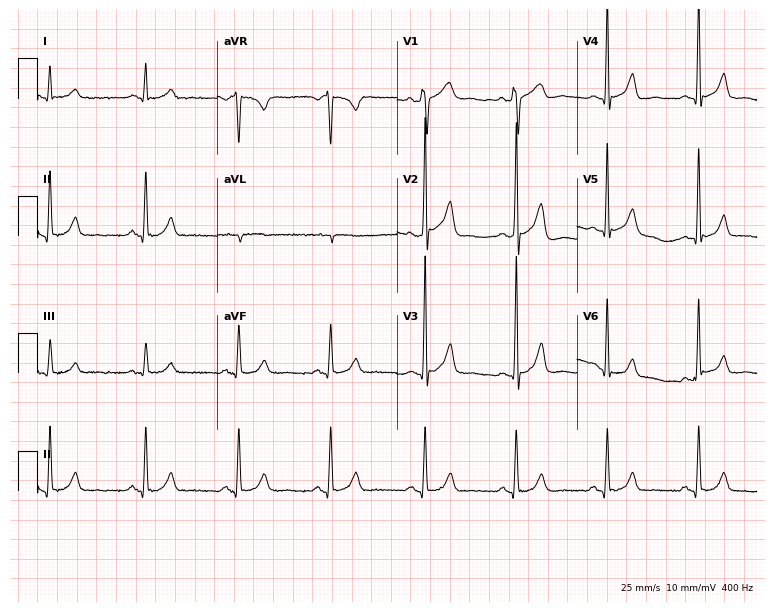
12-lead ECG (7.3-second recording at 400 Hz) from a man, 48 years old. Labelled as a normal ECG.